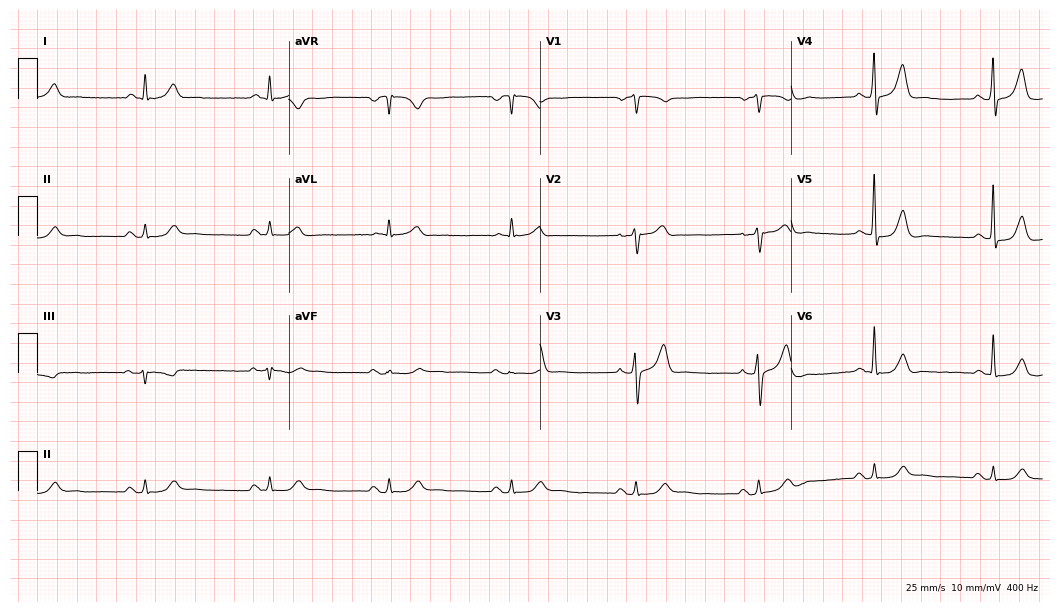
Standard 12-lead ECG recorded from a 59-year-old male patient (10.2-second recording at 400 Hz). None of these six findings is recorded: first-degree AV block, right bundle branch block, left bundle branch block, sinus bradycardia, atrial fibrillation, sinus tachycardia. Findings outside these six are not listed.